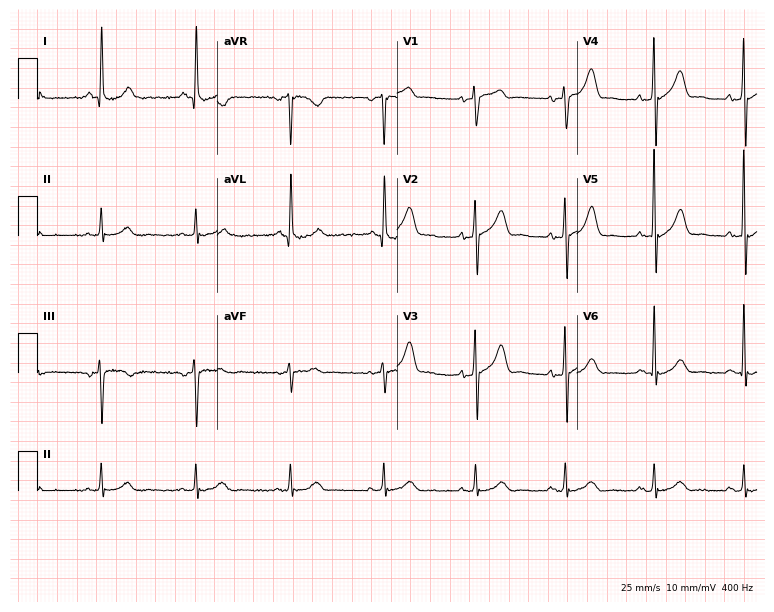
Electrocardiogram, a 67-year-old male. Overall reading on record: normal ECG.